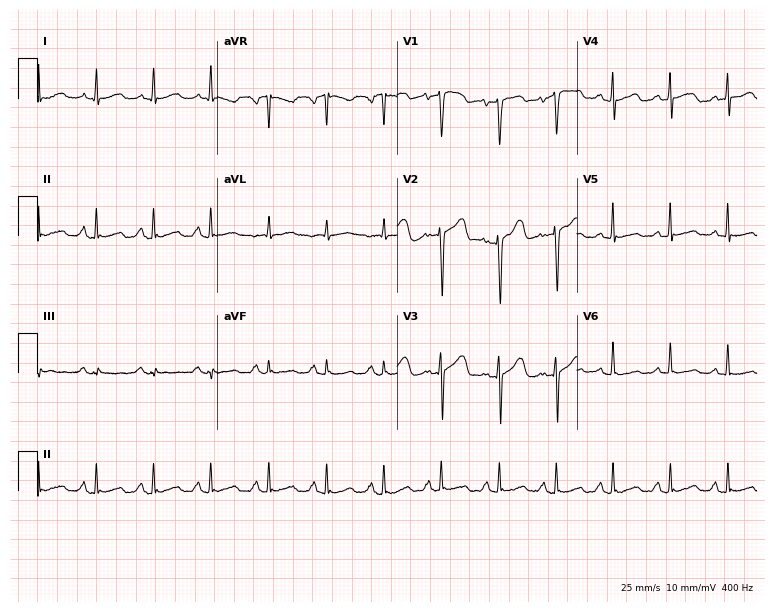
ECG — a 53-year-old woman. Findings include sinus tachycardia (a sinus rate of 100 beats per minute or more).